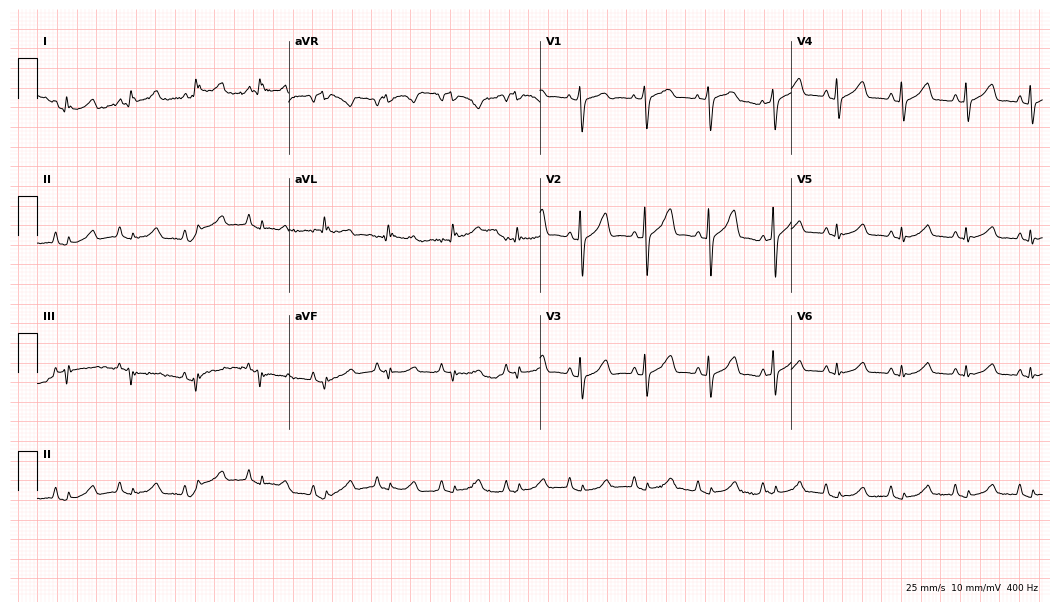
ECG — an 80-year-old female. Labelled as a normal ECG.